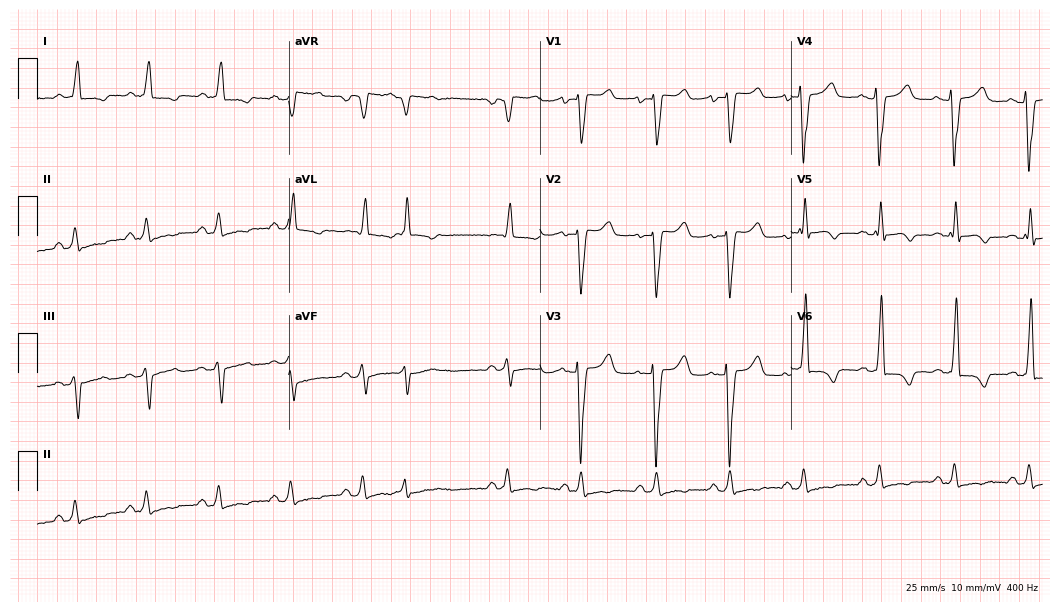
12-lead ECG from a 49-year-old female. Screened for six findings — first-degree AV block, right bundle branch block (RBBB), left bundle branch block (LBBB), sinus bradycardia, atrial fibrillation (AF), sinus tachycardia — none is recorded.